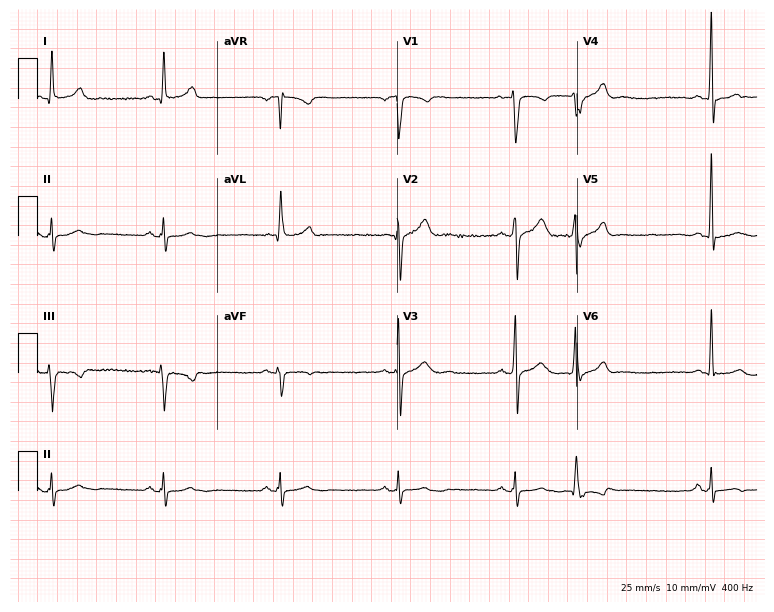
Resting 12-lead electrocardiogram (7.3-second recording at 400 Hz). Patient: a male, 51 years old. None of these six findings is recorded: first-degree AV block, right bundle branch block (RBBB), left bundle branch block (LBBB), sinus bradycardia, atrial fibrillation (AF), sinus tachycardia.